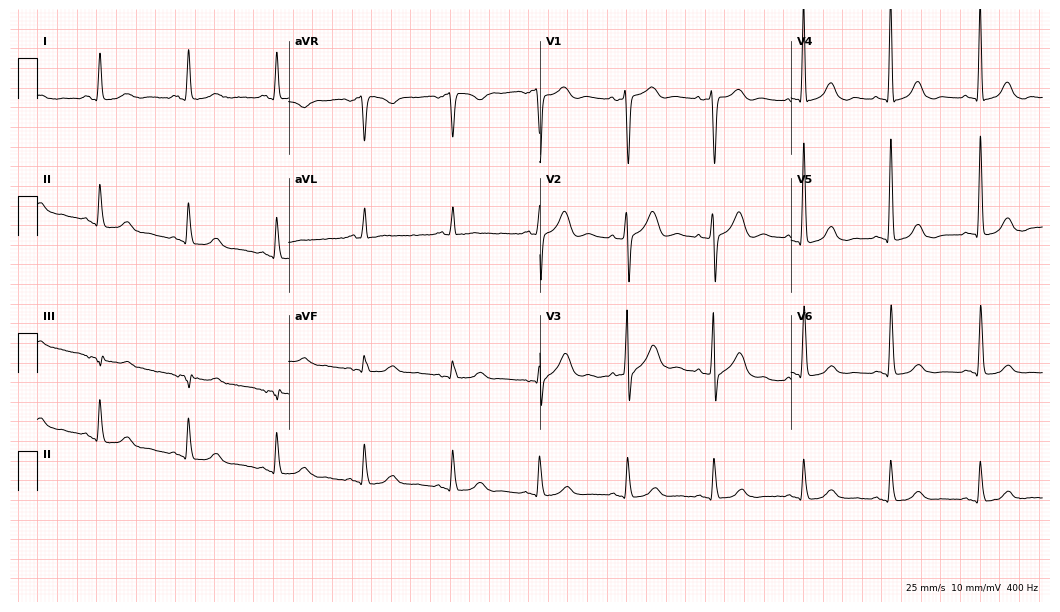
Standard 12-lead ECG recorded from a 72-year-old female patient (10.2-second recording at 400 Hz). Read as a normal ECG.